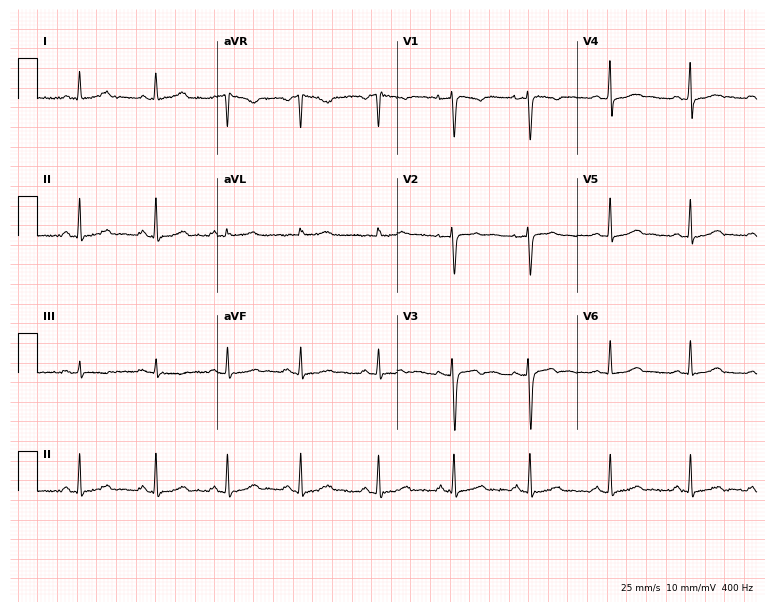
Standard 12-lead ECG recorded from a 43-year-old female patient (7.3-second recording at 400 Hz). None of these six findings is recorded: first-degree AV block, right bundle branch block (RBBB), left bundle branch block (LBBB), sinus bradycardia, atrial fibrillation (AF), sinus tachycardia. Other findings, if any, are not listed.